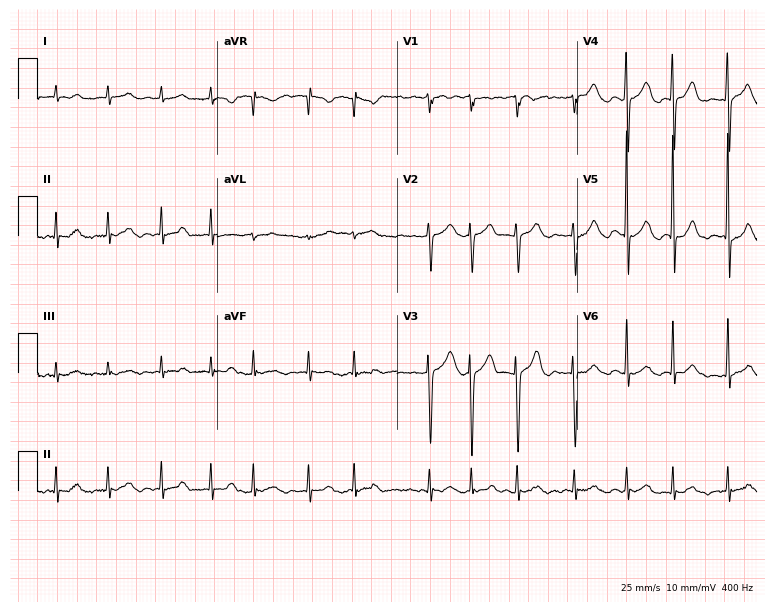
12-lead ECG from a female, 83 years old. Findings include atrial fibrillation.